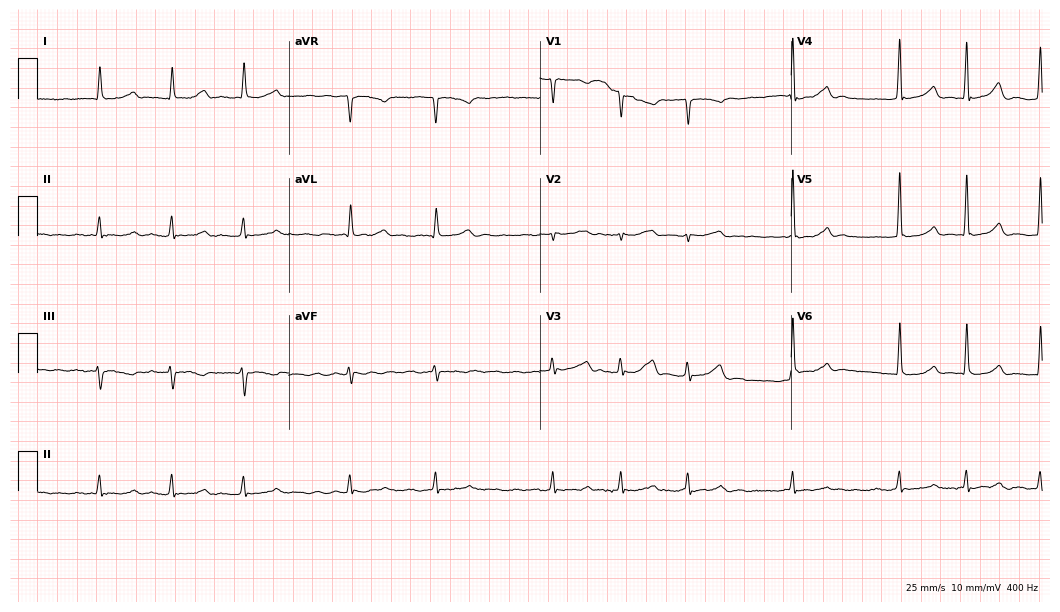
ECG — a female, 56 years old. Findings include atrial fibrillation (AF).